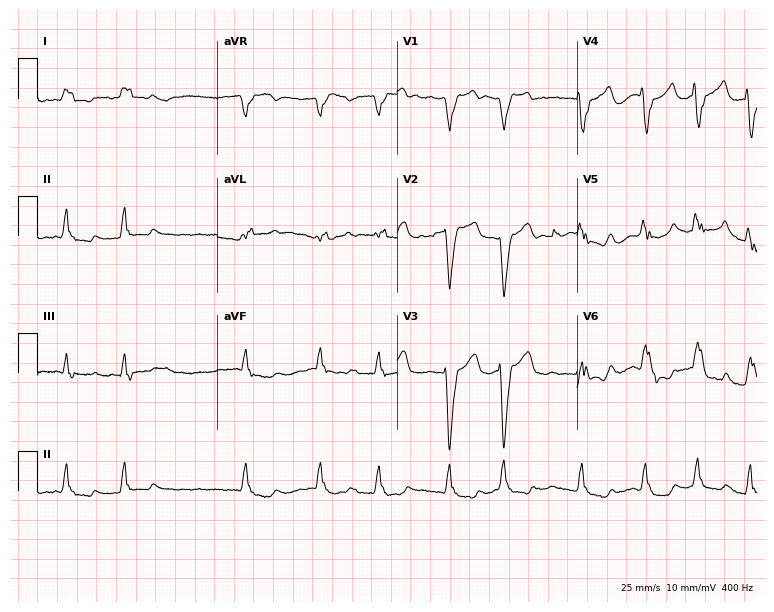
12-lead ECG from a woman, 68 years old. Findings include left bundle branch block, atrial fibrillation.